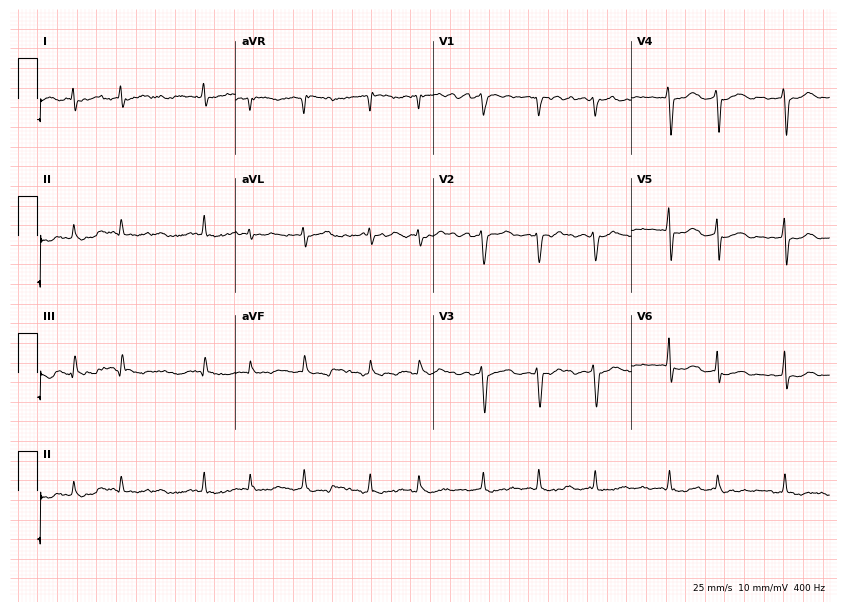
Standard 12-lead ECG recorded from a woman, 61 years old. The tracing shows atrial fibrillation.